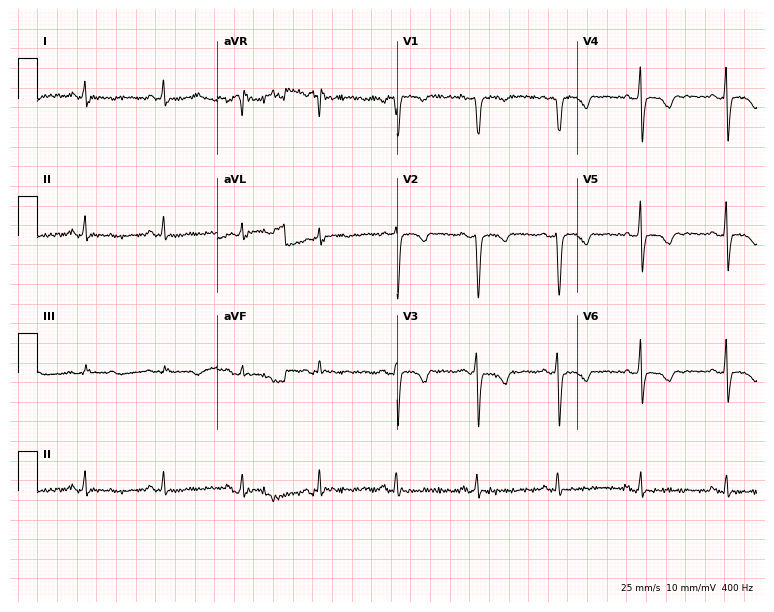
Electrocardiogram, a woman, 29 years old. Of the six screened findings (first-degree AV block, right bundle branch block, left bundle branch block, sinus bradycardia, atrial fibrillation, sinus tachycardia), none is recorded.